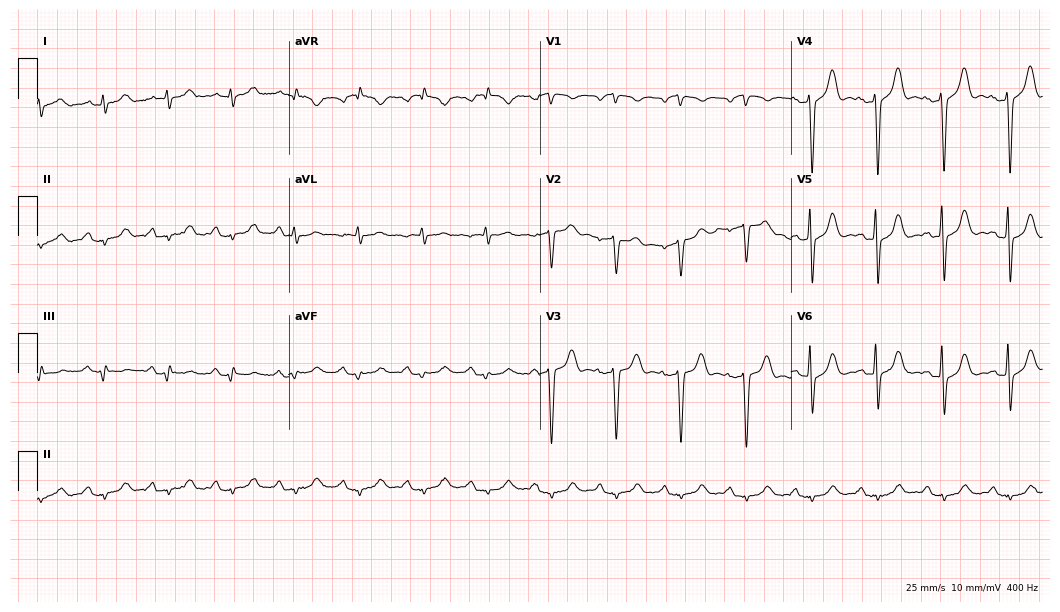
ECG (10.2-second recording at 400 Hz) — a male patient, 85 years old. Screened for six findings — first-degree AV block, right bundle branch block, left bundle branch block, sinus bradycardia, atrial fibrillation, sinus tachycardia — none is recorded. Other findings, if any, are not listed.